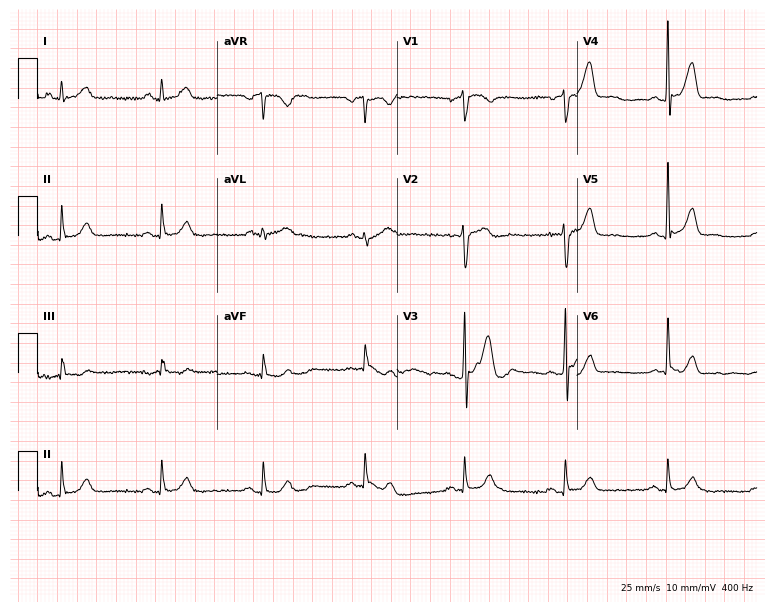
Electrocardiogram, a 55-year-old male patient. Overall reading on record: normal ECG.